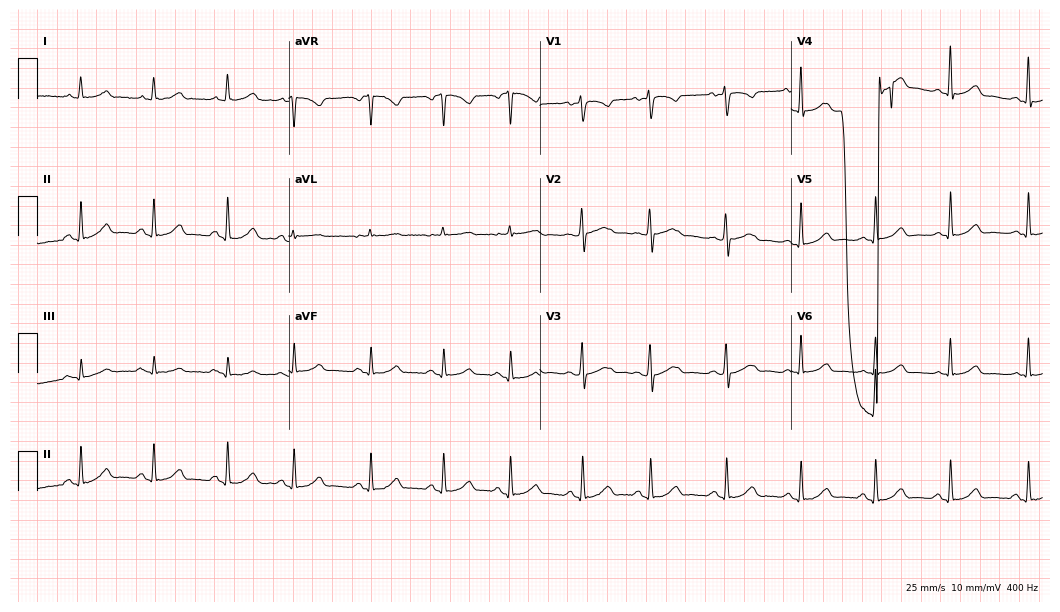
Resting 12-lead electrocardiogram. Patient: a 42-year-old woman. None of these six findings is recorded: first-degree AV block, right bundle branch block, left bundle branch block, sinus bradycardia, atrial fibrillation, sinus tachycardia.